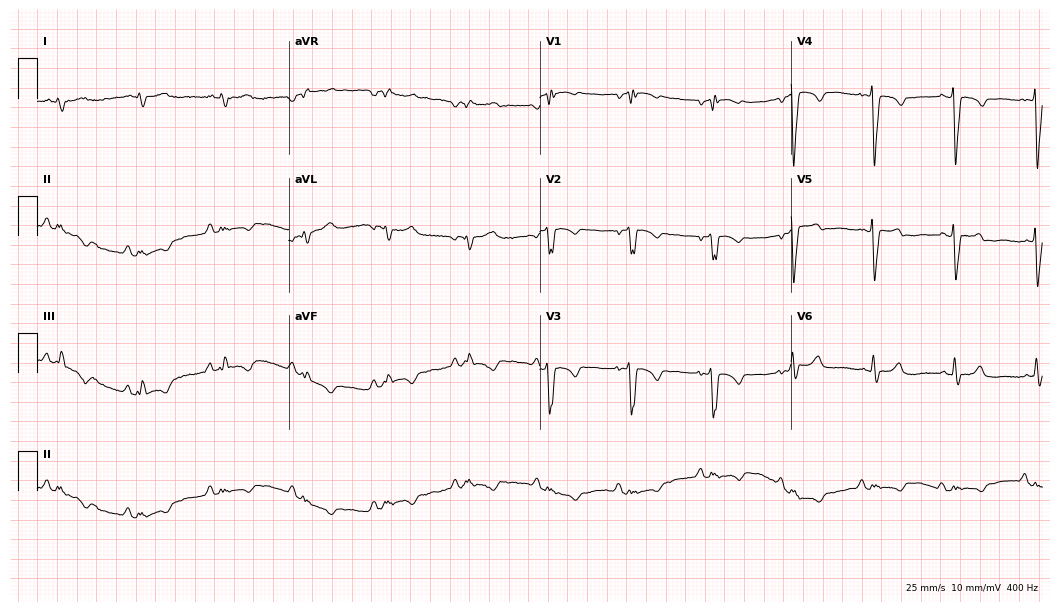
Standard 12-lead ECG recorded from a 70-year-old man (10.2-second recording at 400 Hz). None of these six findings is recorded: first-degree AV block, right bundle branch block (RBBB), left bundle branch block (LBBB), sinus bradycardia, atrial fibrillation (AF), sinus tachycardia.